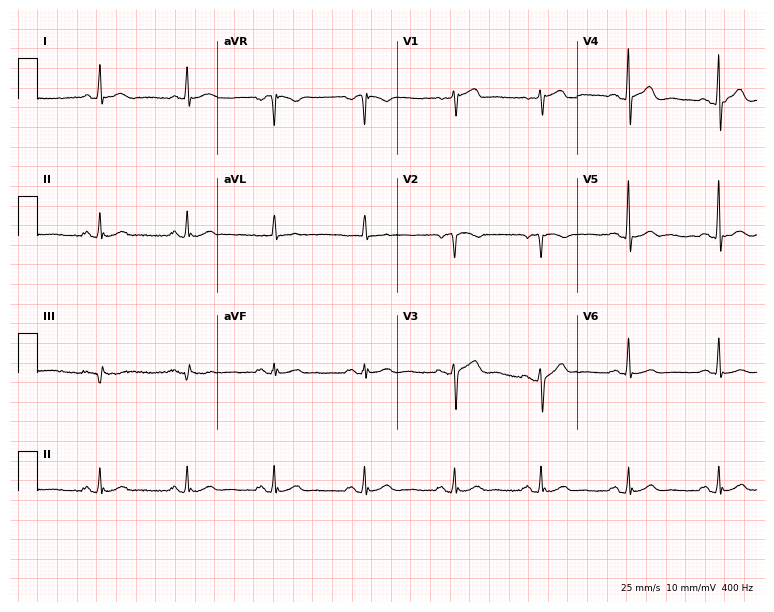
ECG (7.3-second recording at 400 Hz) — a 64-year-old woman. Labelled as a normal ECG.